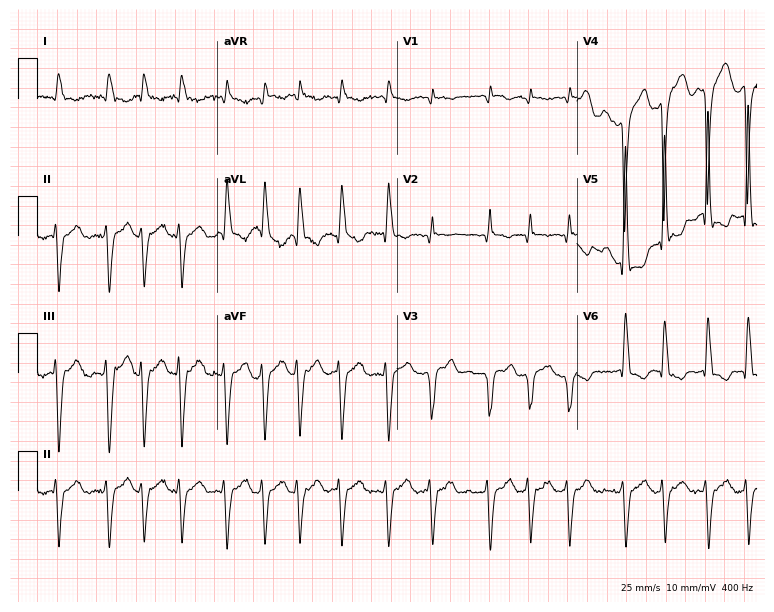
12-lead ECG from an 81-year-old female. Shows atrial fibrillation.